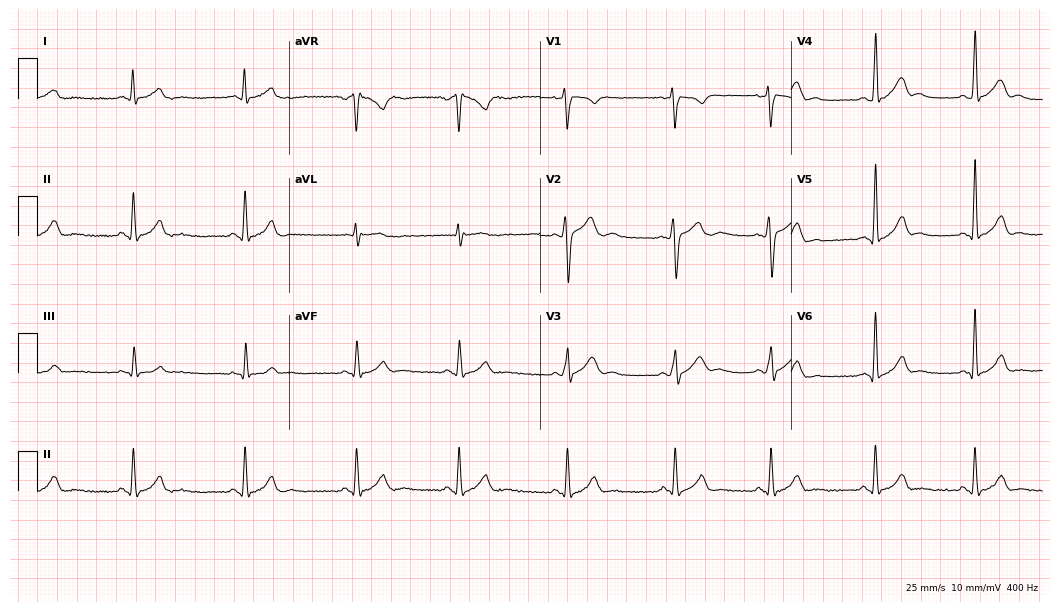
Resting 12-lead electrocardiogram. Patient: a 24-year-old male. None of these six findings is recorded: first-degree AV block, right bundle branch block, left bundle branch block, sinus bradycardia, atrial fibrillation, sinus tachycardia.